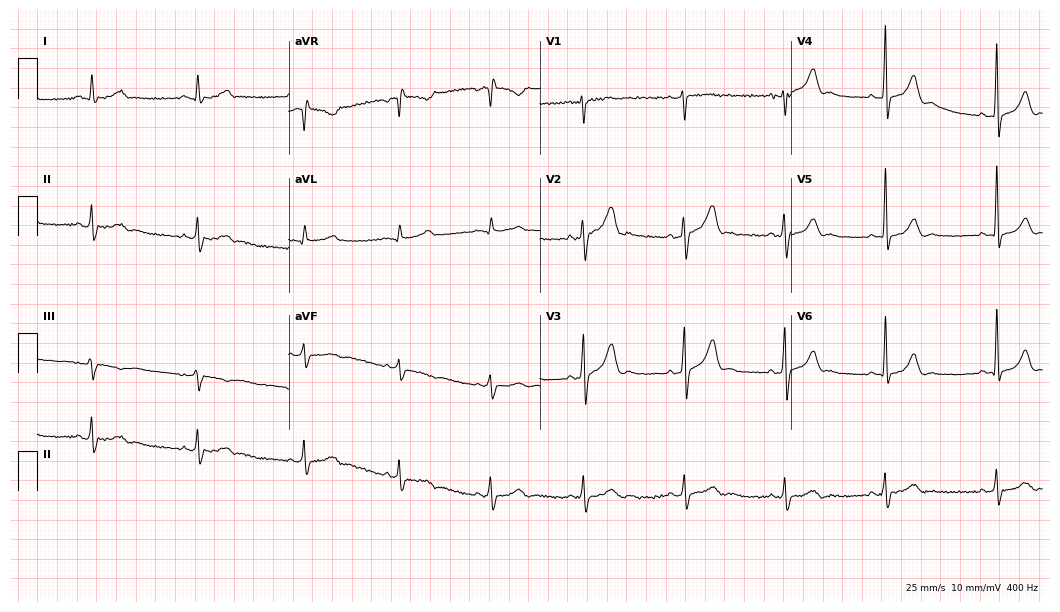
ECG (10.2-second recording at 400 Hz) — a 41-year-old man. Screened for six findings — first-degree AV block, right bundle branch block (RBBB), left bundle branch block (LBBB), sinus bradycardia, atrial fibrillation (AF), sinus tachycardia — none is recorded.